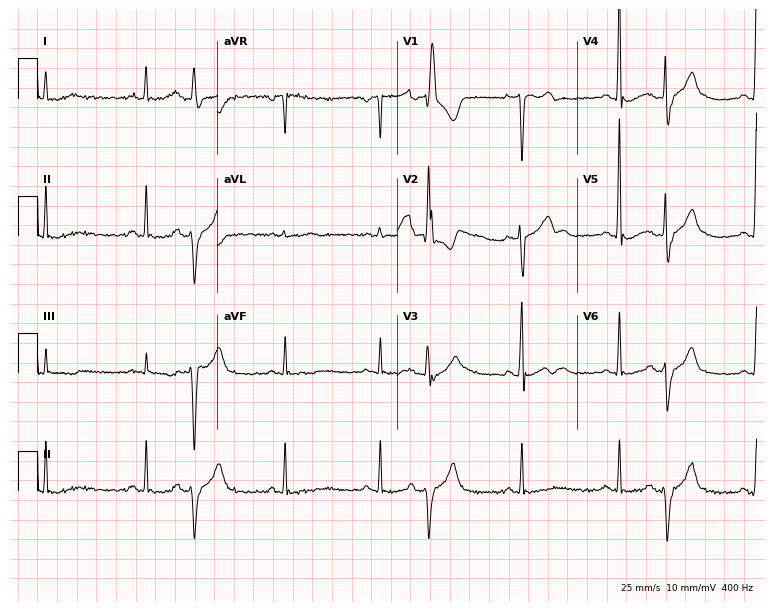
ECG (7.3-second recording at 400 Hz) — a male, 51 years old. Screened for six findings — first-degree AV block, right bundle branch block, left bundle branch block, sinus bradycardia, atrial fibrillation, sinus tachycardia — none is recorded. Findings outside these six are not listed.